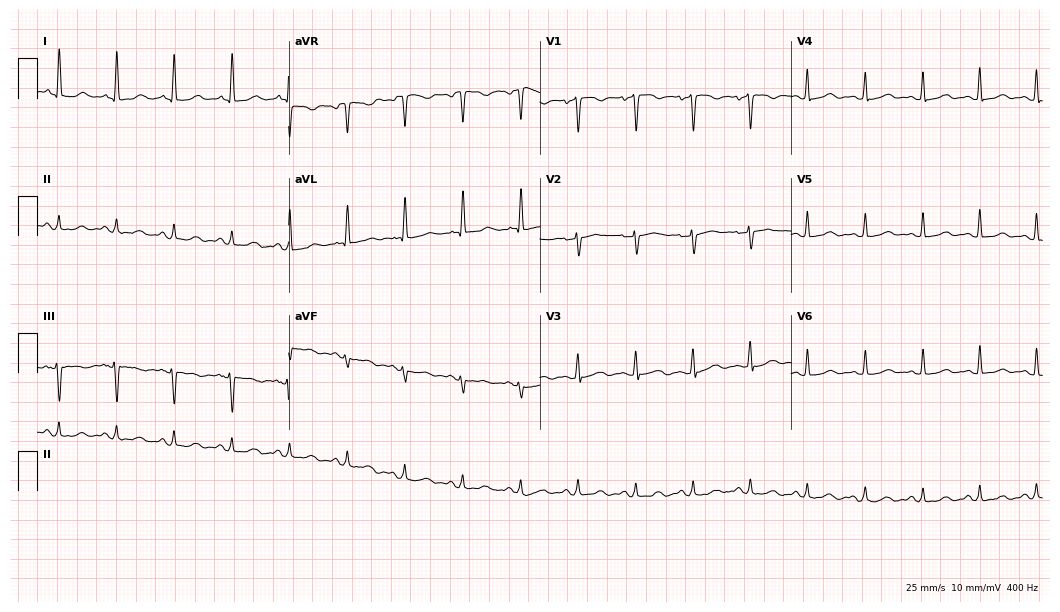
12-lead ECG from a female, 52 years old (10.2-second recording at 400 Hz). No first-degree AV block, right bundle branch block, left bundle branch block, sinus bradycardia, atrial fibrillation or sinus tachycardia recorded for this tracing.